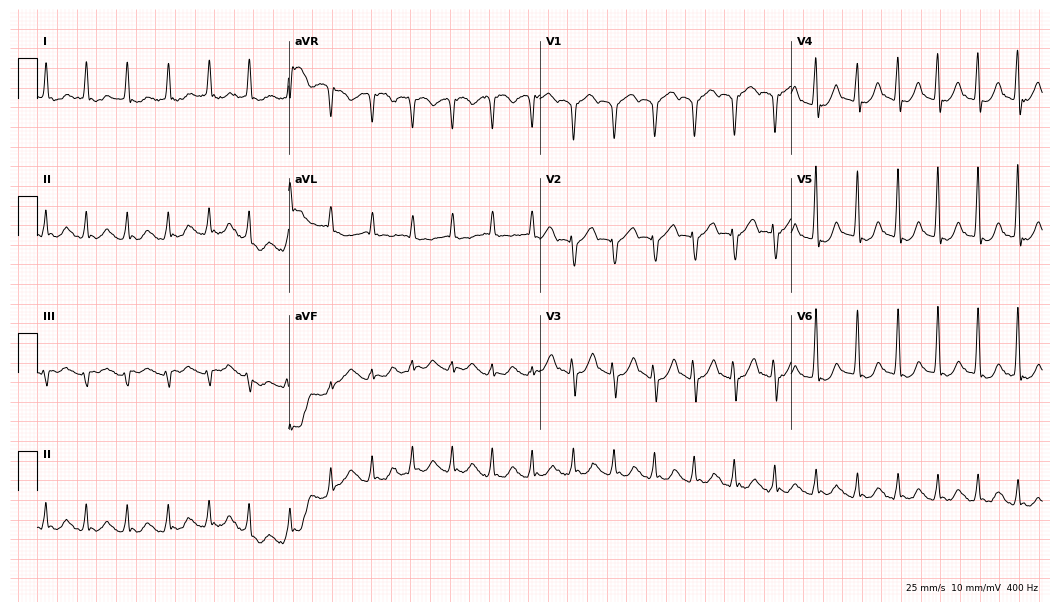
12-lead ECG from a man, 77 years old (10.2-second recording at 400 Hz). Shows sinus tachycardia (a sinus rate of 100 beats per minute or more).